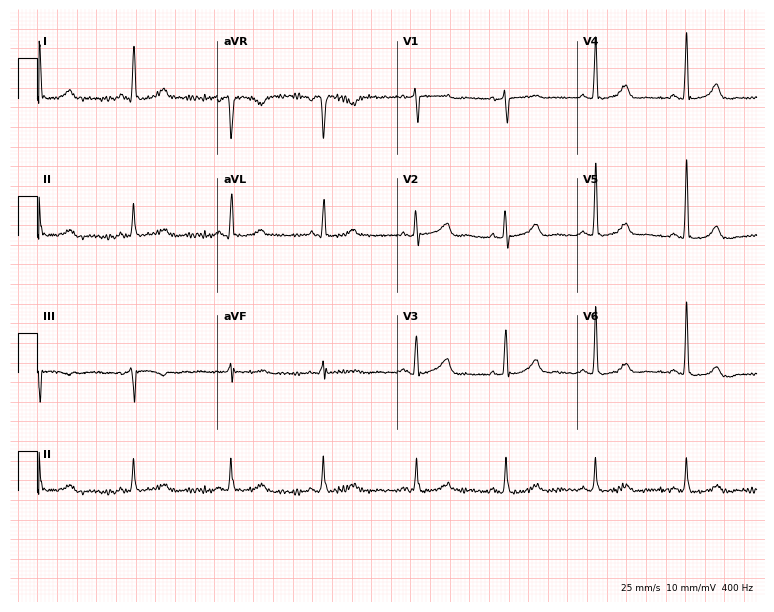
12-lead ECG (7.3-second recording at 400 Hz) from a 58-year-old female patient. Labelled as a normal ECG.